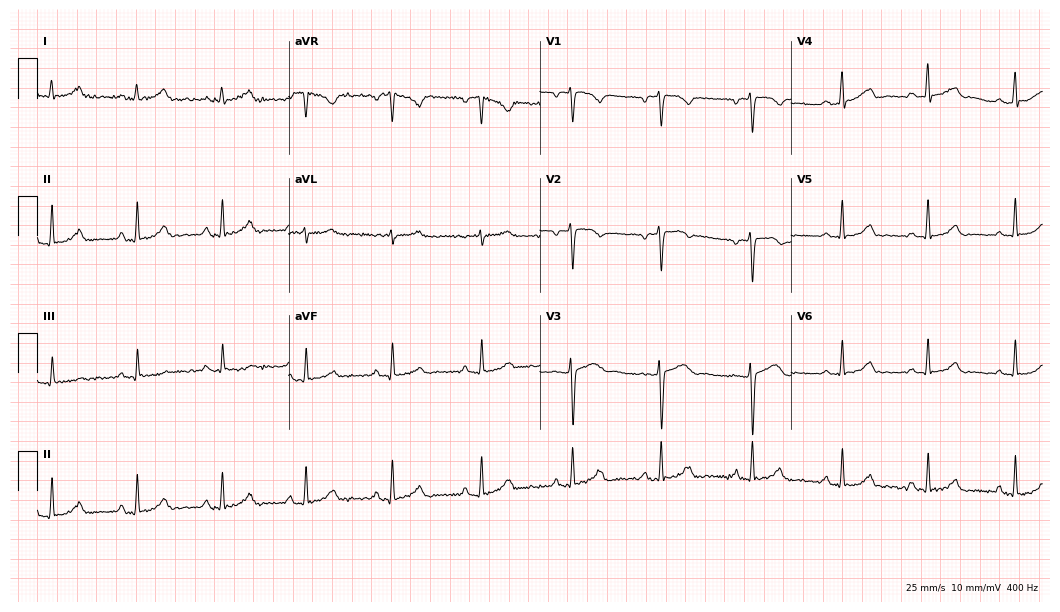
12-lead ECG from a 36-year-old female. No first-degree AV block, right bundle branch block (RBBB), left bundle branch block (LBBB), sinus bradycardia, atrial fibrillation (AF) or sinus tachycardia recorded for this tracing. Only these six findings were labelled.